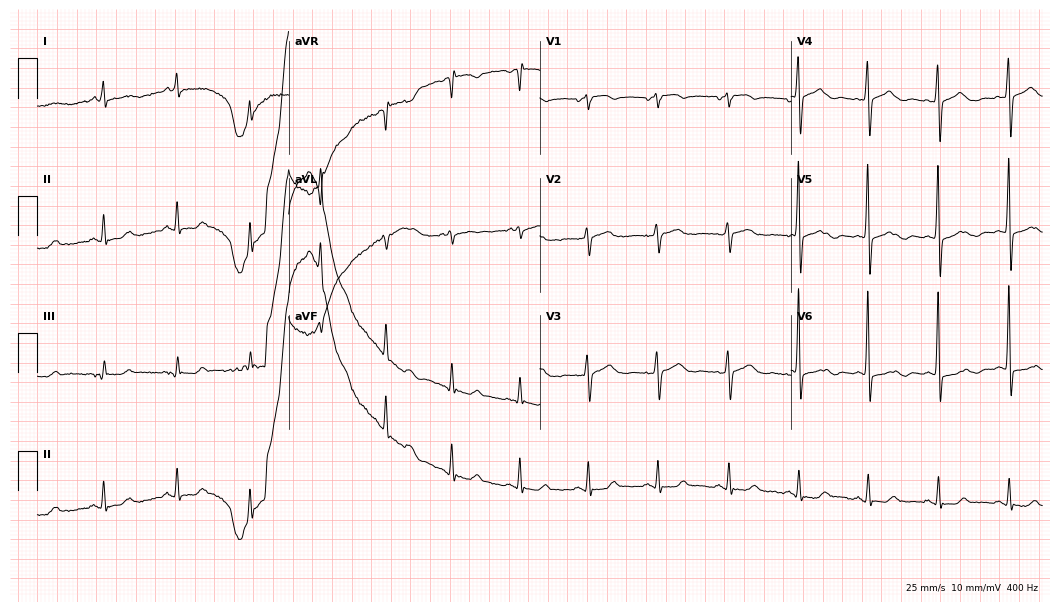
Standard 12-lead ECG recorded from a 79-year-old female patient (10.2-second recording at 400 Hz). None of these six findings is recorded: first-degree AV block, right bundle branch block, left bundle branch block, sinus bradycardia, atrial fibrillation, sinus tachycardia. Only these six findings were labelled.